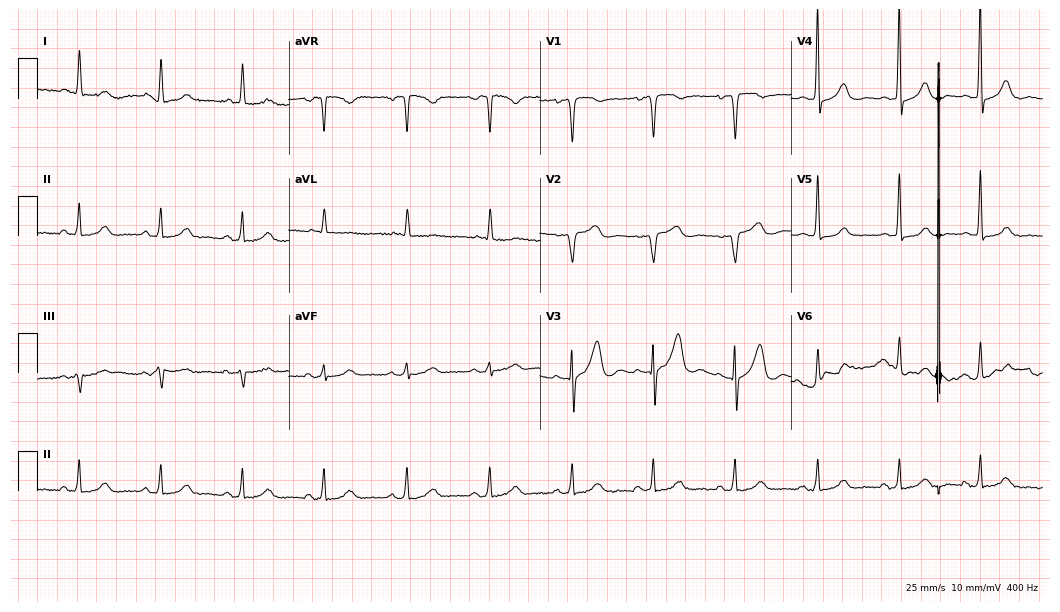
Resting 12-lead electrocardiogram (10.2-second recording at 400 Hz). Patient: a female, 71 years old. None of these six findings is recorded: first-degree AV block, right bundle branch block (RBBB), left bundle branch block (LBBB), sinus bradycardia, atrial fibrillation (AF), sinus tachycardia. Only these six findings were labelled.